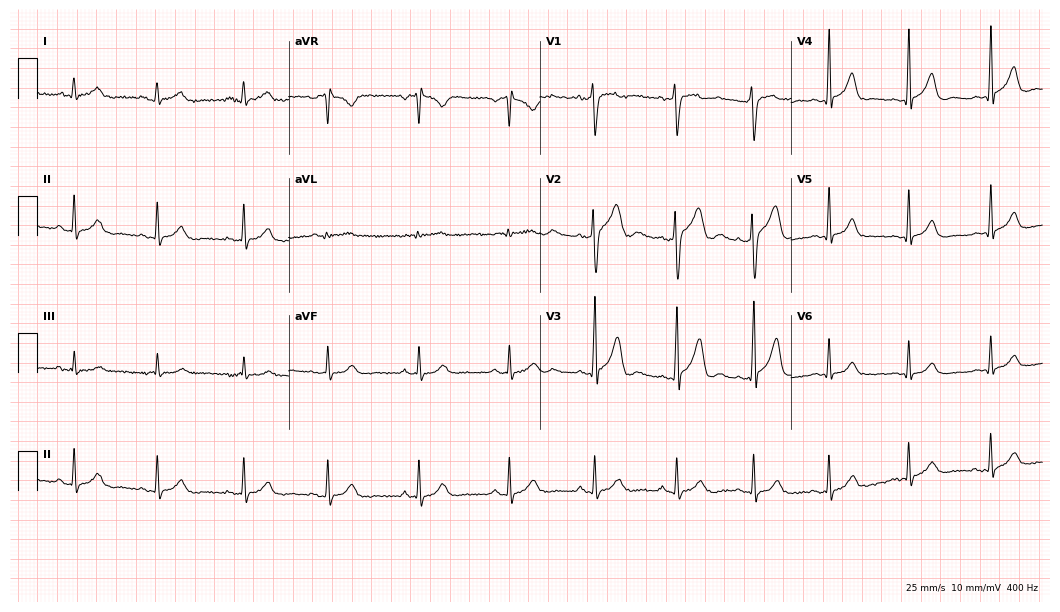
Standard 12-lead ECG recorded from a man, 20 years old. Read as a normal ECG.